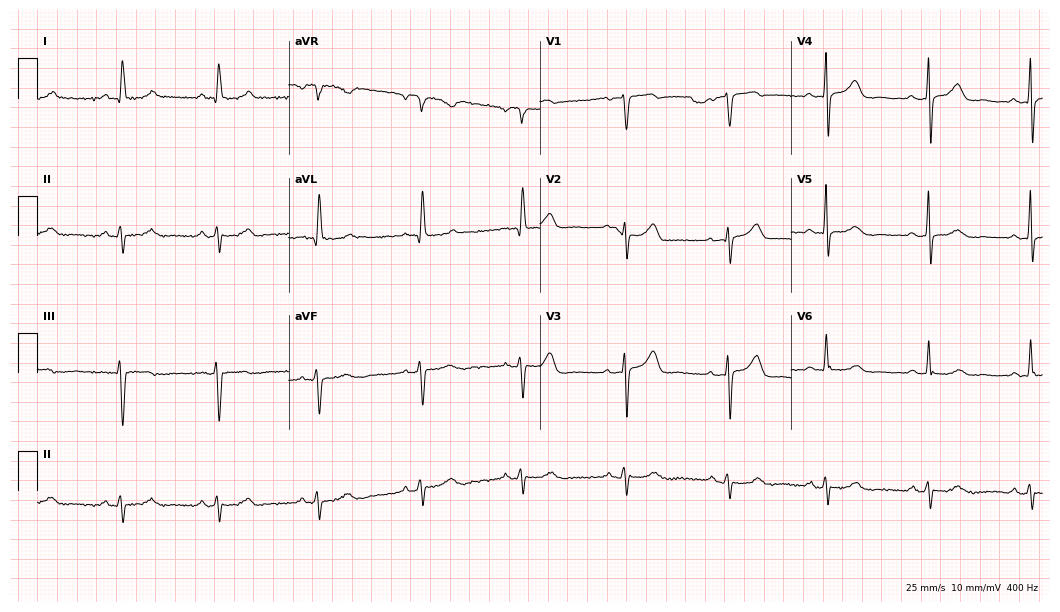
Standard 12-lead ECG recorded from a woman, 68 years old. None of these six findings is recorded: first-degree AV block, right bundle branch block (RBBB), left bundle branch block (LBBB), sinus bradycardia, atrial fibrillation (AF), sinus tachycardia.